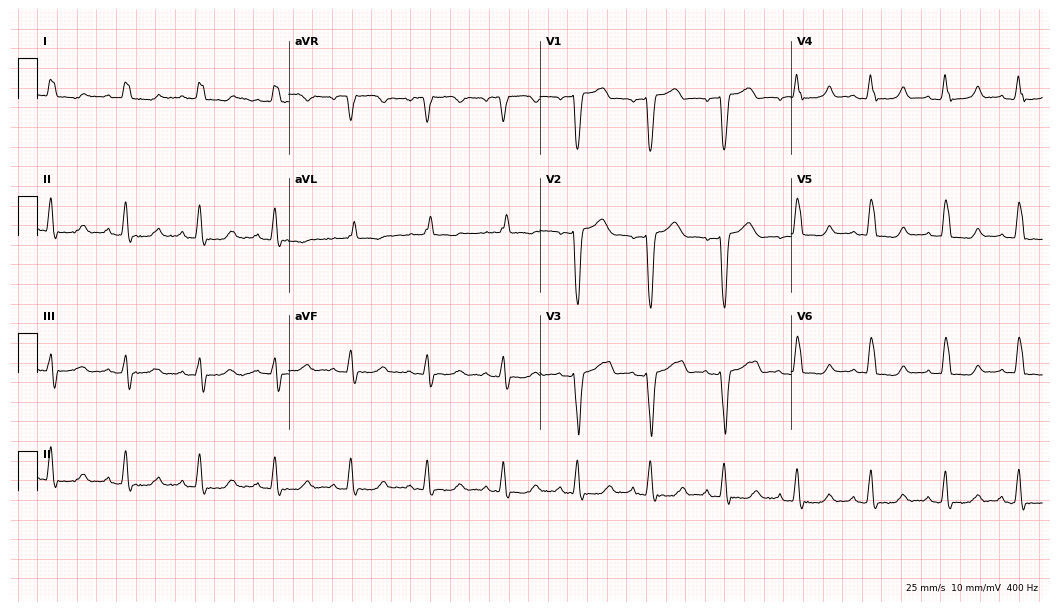
Standard 12-lead ECG recorded from a 76-year-old female. The tracing shows left bundle branch block.